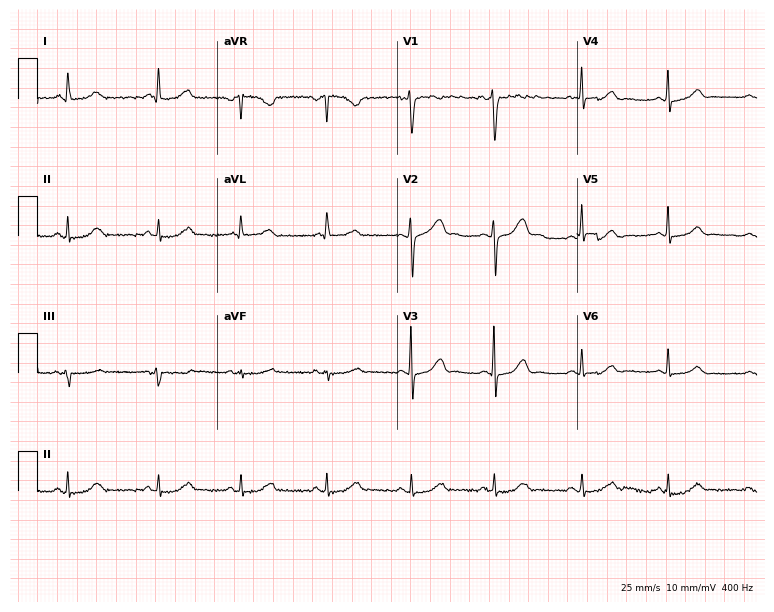
Electrocardiogram, a woman, 38 years old. Overall reading on record: normal ECG.